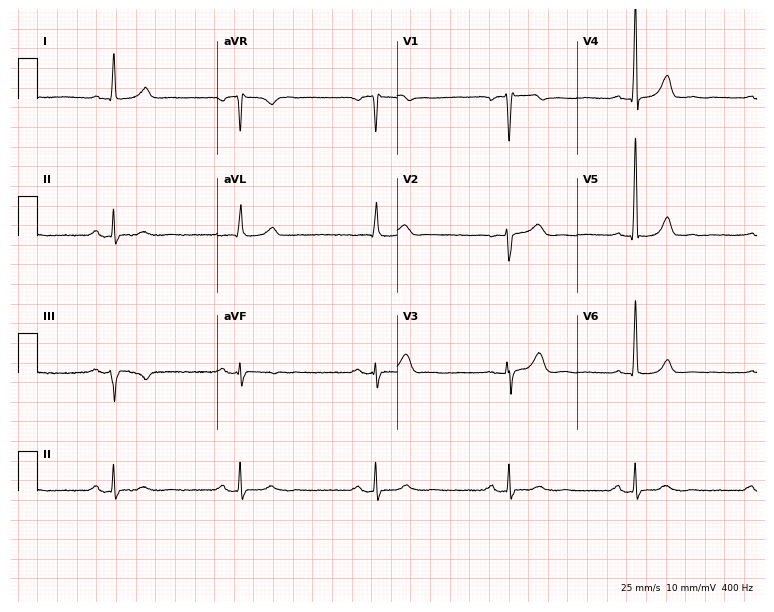
12-lead ECG from a man, 70 years old. Shows sinus bradycardia (a sinus rate of 50 beats per minute or less).